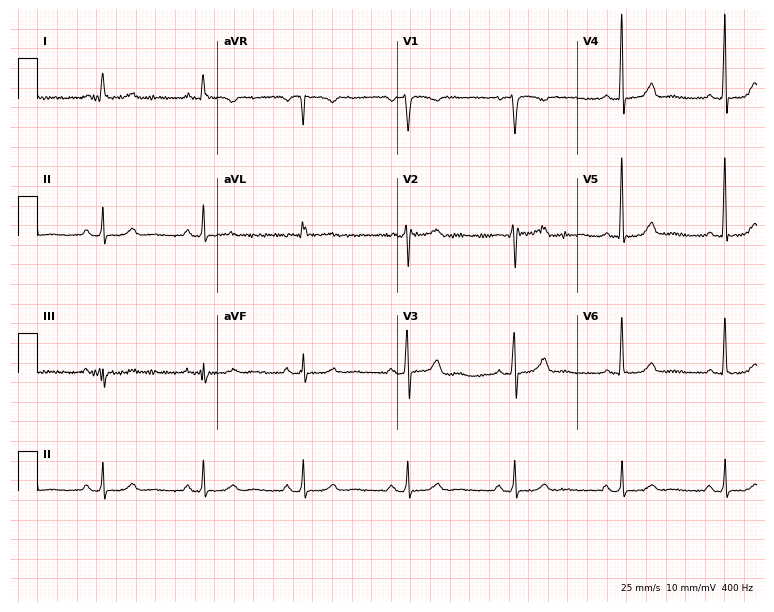
12-lead ECG from a 55-year-old female. Screened for six findings — first-degree AV block, right bundle branch block, left bundle branch block, sinus bradycardia, atrial fibrillation, sinus tachycardia — none is recorded.